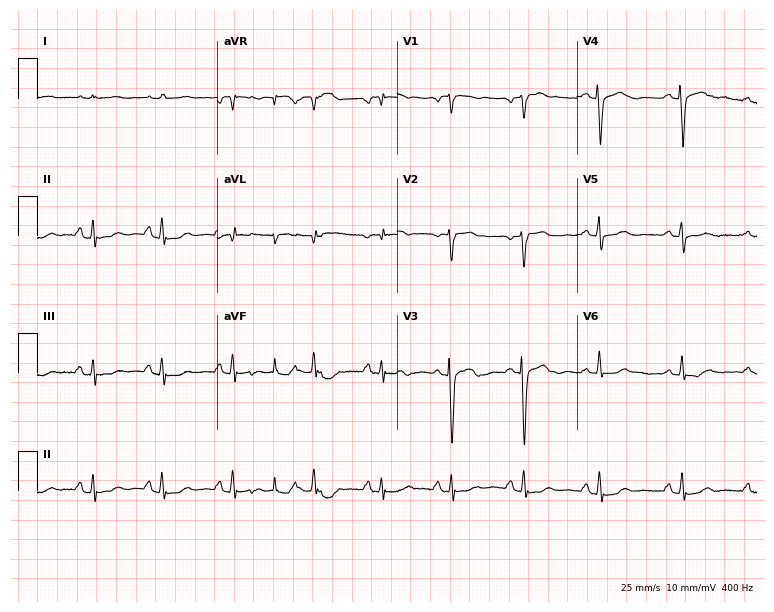
12-lead ECG from a 58-year-old female. Screened for six findings — first-degree AV block, right bundle branch block, left bundle branch block, sinus bradycardia, atrial fibrillation, sinus tachycardia — none is recorded.